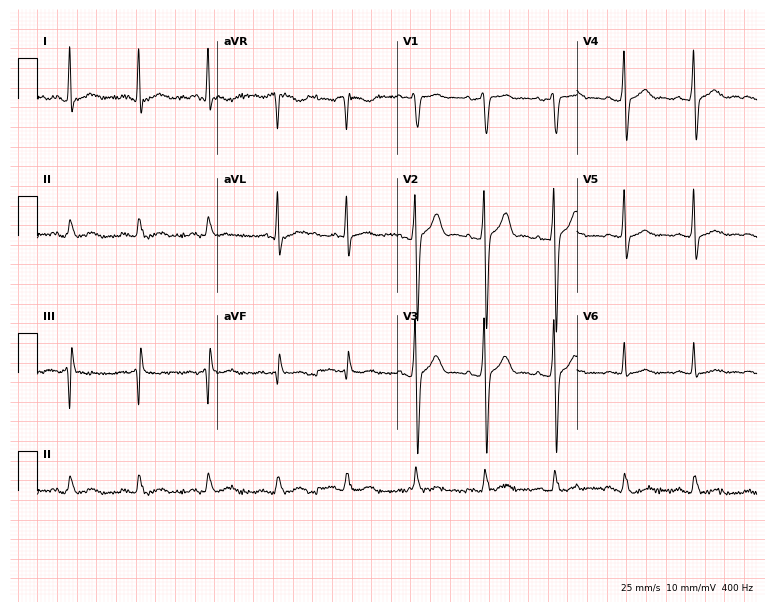
Standard 12-lead ECG recorded from a 42-year-old male (7.3-second recording at 400 Hz). None of these six findings is recorded: first-degree AV block, right bundle branch block, left bundle branch block, sinus bradycardia, atrial fibrillation, sinus tachycardia. Findings outside these six are not listed.